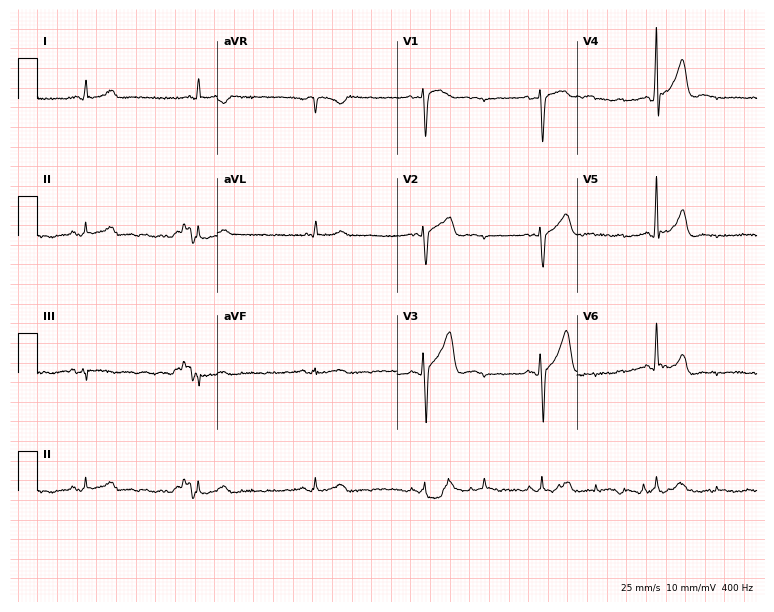
12-lead ECG from a male, 51 years old (7.3-second recording at 400 Hz). Recorded interpretation: within normal limits.